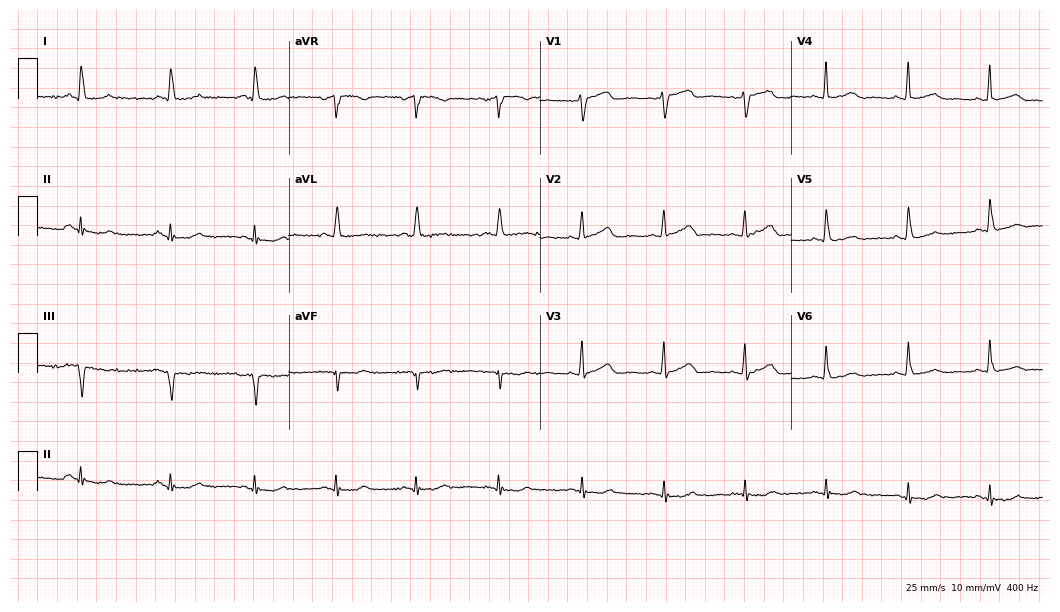
Standard 12-lead ECG recorded from a woman, 75 years old (10.2-second recording at 400 Hz). None of these six findings is recorded: first-degree AV block, right bundle branch block, left bundle branch block, sinus bradycardia, atrial fibrillation, sinus tachycardia.